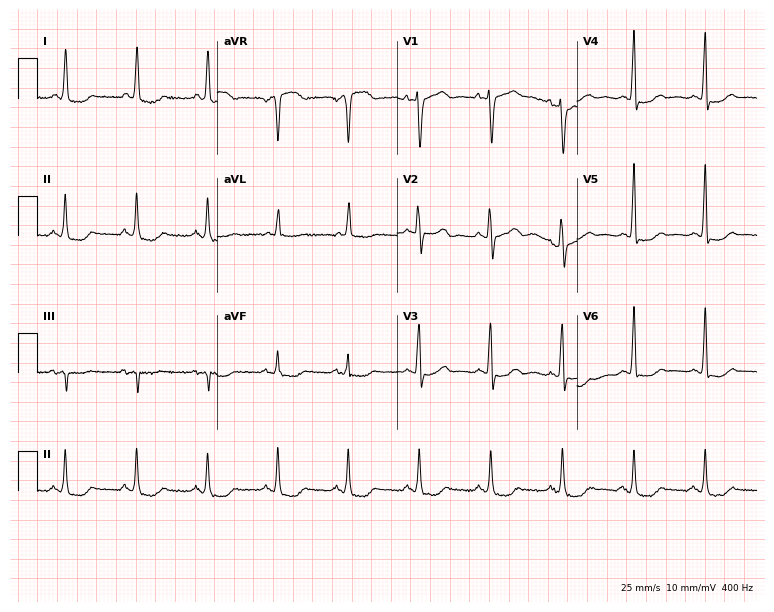
Standard 12-lead ECG recorded from a female patient, 74 years old (7.3-second recording at 400 Hz). Read as a normal ECG.